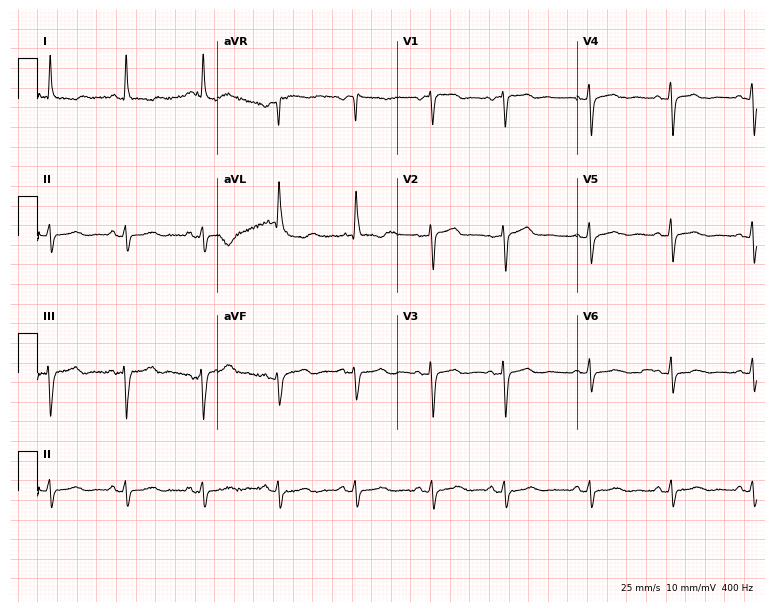
Resting 12-lead electrocardiogram (7.3-second recording at 400 Hz). Patient: a woman, 72 years old. None of these six findings is recorded: first-degree AV block, right bundle branch block (RBBB), left bundle branch block (LBBB), sinus bradycardia, atrial fibrillation (AF), sinus tachycardia. Findings outside these six are not listed.